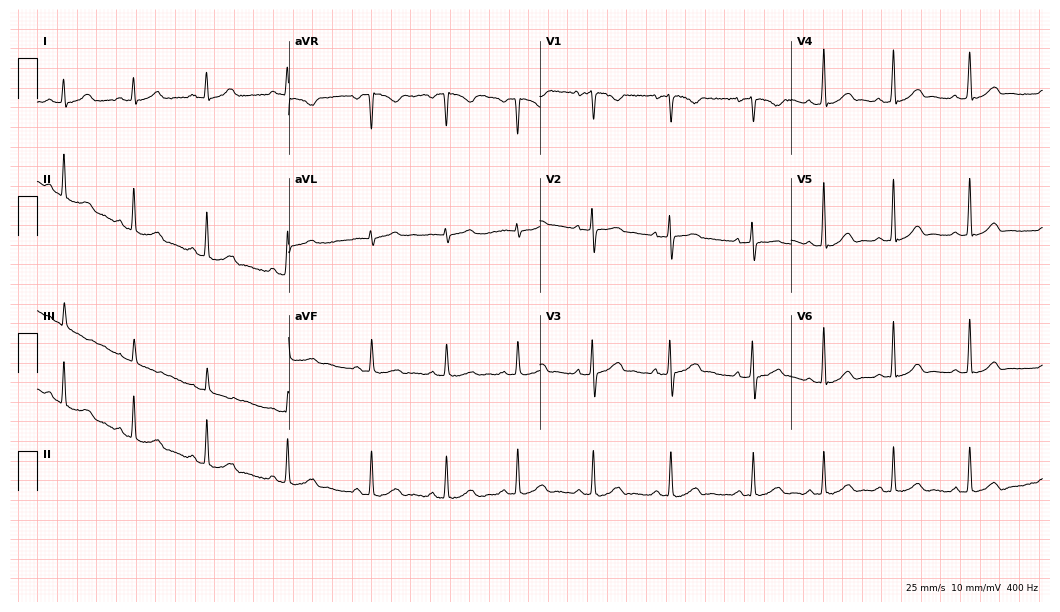
12-lead ECG from a 23-year-old female patient (10.2-second recording at 400 Hz). Recorded interpretation: within normal limits.